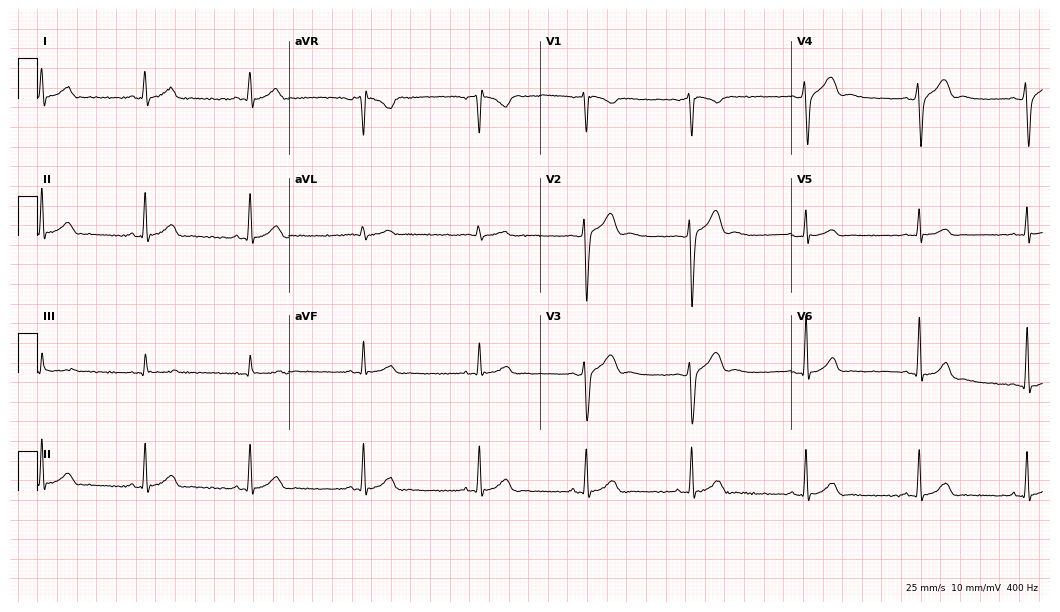
Resting 12-lead electrocardiogram. Patient: a male, 23 years old. None of these six findings is recorded: first-degree AV block, right bundle branch block, left bundle branch block, sinus bradycardia, atrial fibrillation, sinus tachycardia. Other findings, if any, are not listed.